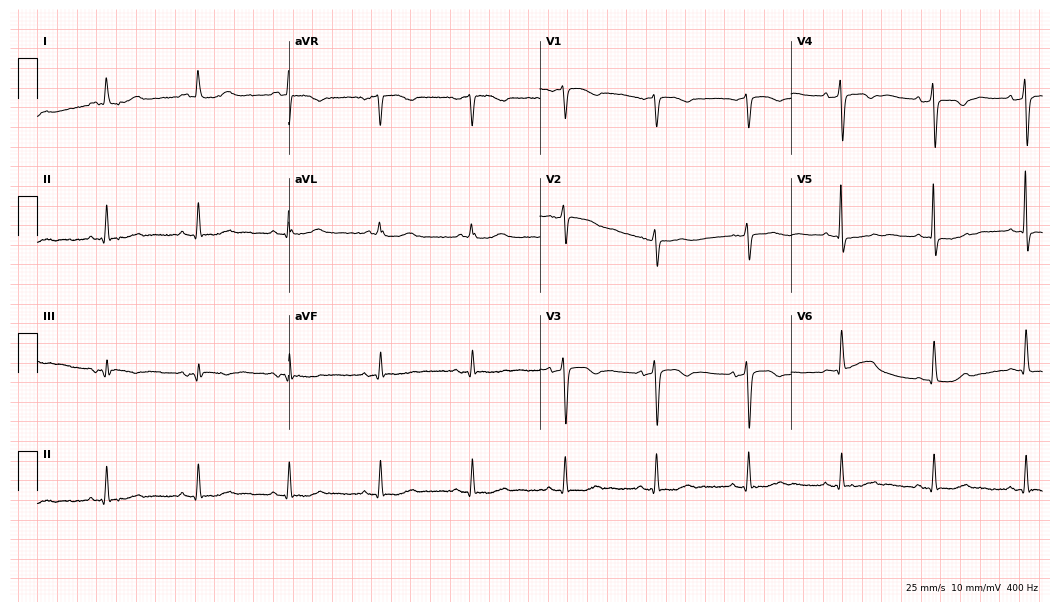
Standard 12-lead ECG recorded from a female patient, 70 years old. None of these six findings is recorded: first-degree AV block, right bundle branch block, left bundle branch block, sinus bradycardia, atrial fibrillation, sinus tachycardia. Other findings, if any, are not listed.